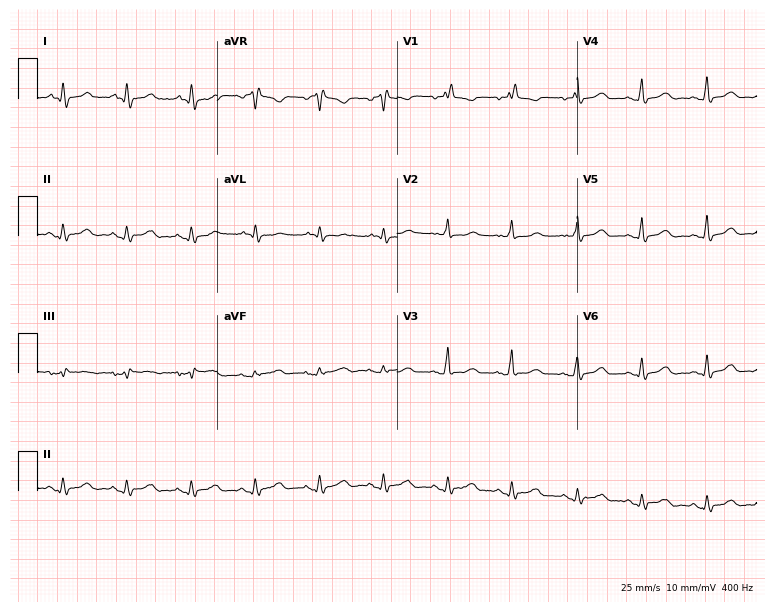
12-lead ECG from a 77-year-old woman (7.3-second recording at 400 Hz). Shows right bundle branch block (RBBB).